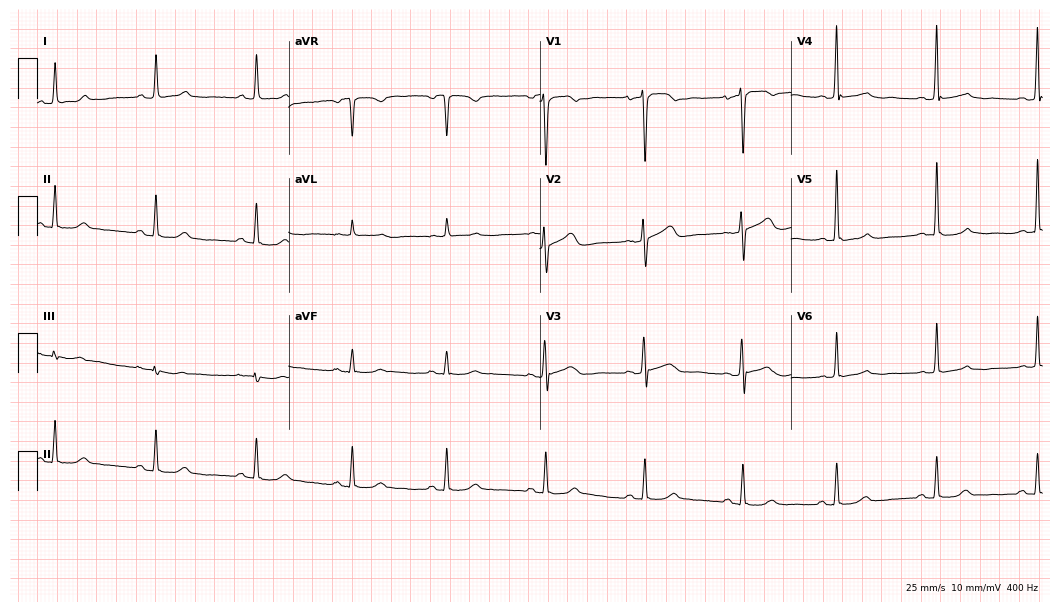
Resting 12-lead electrocardiogram (10.2-second recording at 400 Hz). Patient: a 56-year-old female. None of these six findings is recorded: first-degree AV block, right bundle branch block, left bundle branch block, sinus bradycardia, atrial fibrillation, sinus tachycardia.